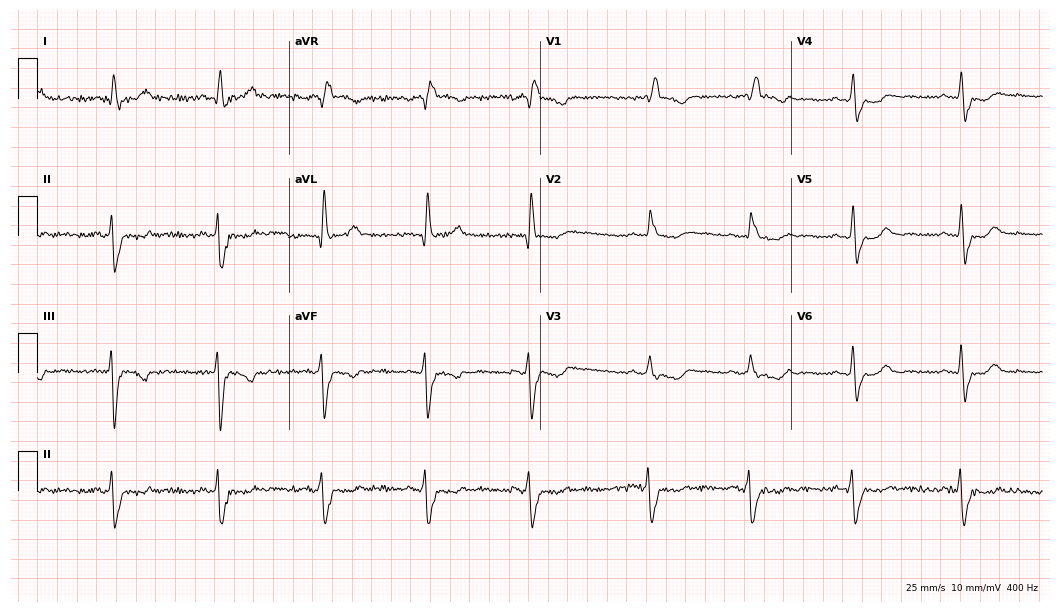
12-lead ECG from a female patient, 58 years old. Findings include right bundle branch block (RBBB).